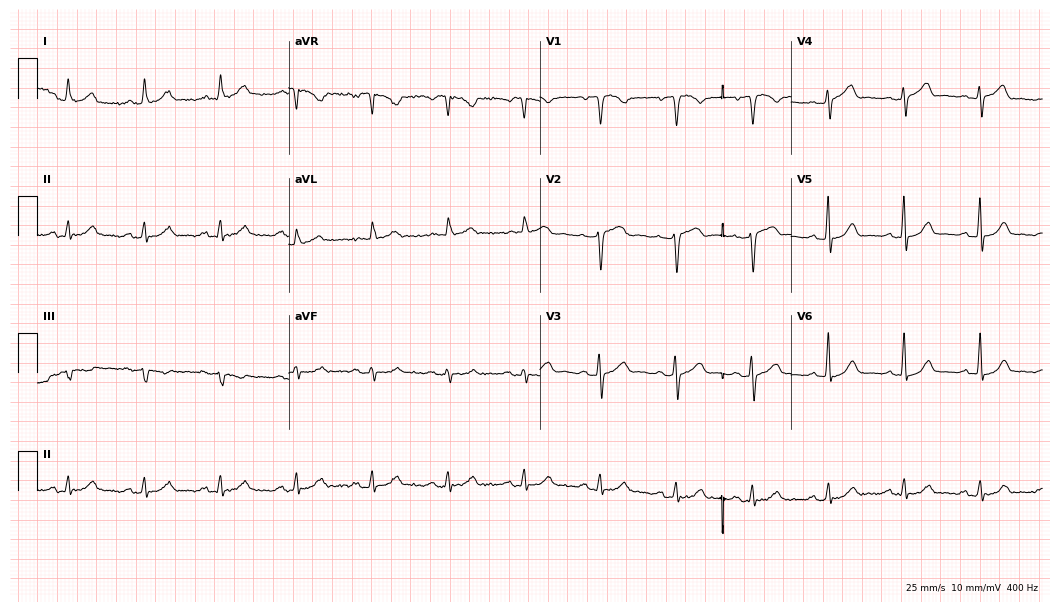
12-lead ECG (10.2-second recording at 400 Hz) from a 73-year-old female. Labelled as a normal ECG.